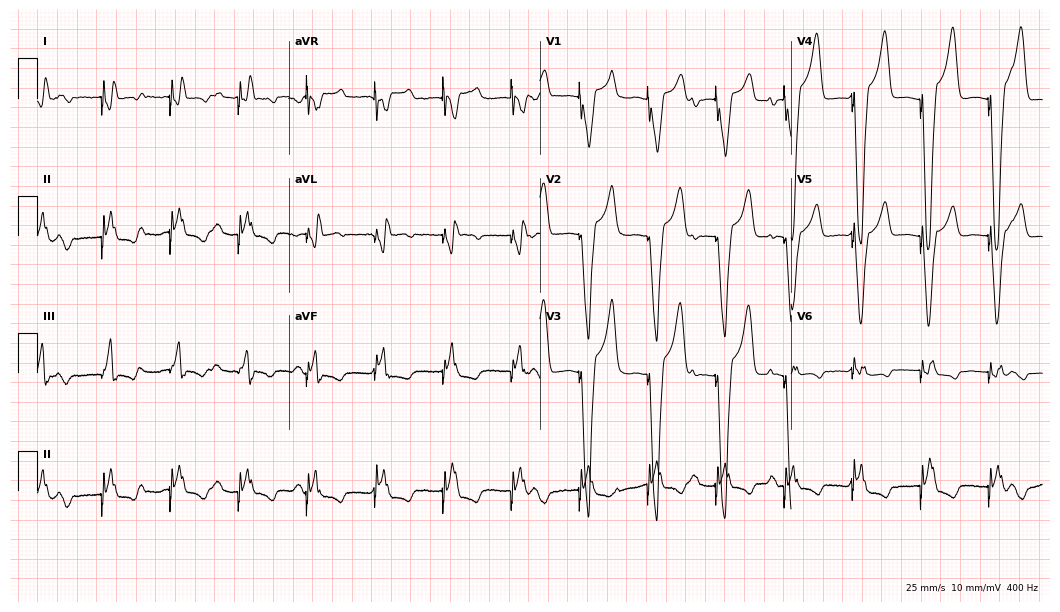
Standard 12-lead ECG recorded from an 81-year-old female. None of these six findings is recorded: first-degree AV block, right bundle branch block (RBBB), left bundle branch block (LBBB), sinus bradycardia, atrial fibrillation (AF), sinus tachycardia.